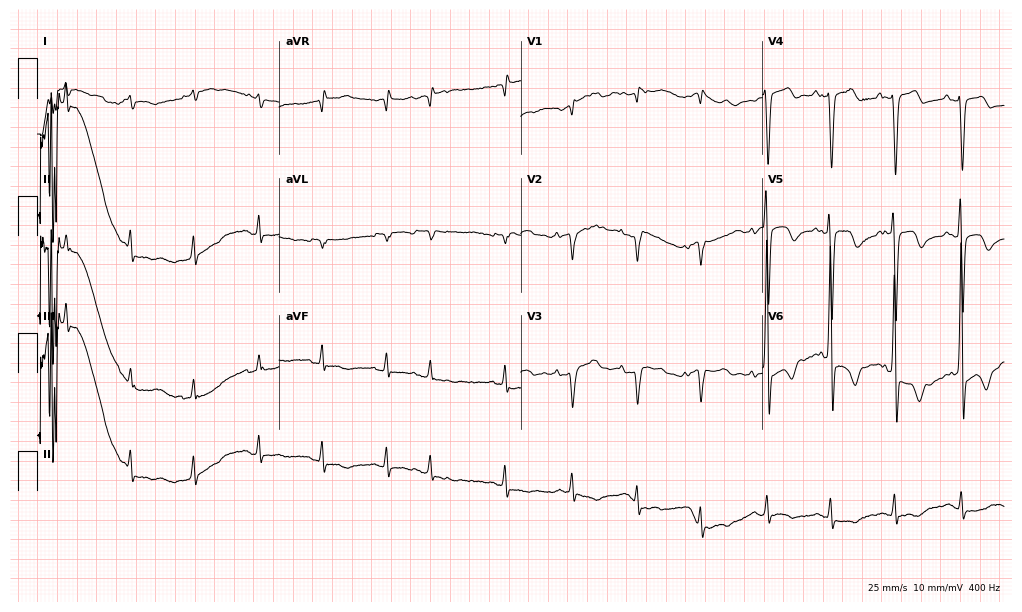
12-lead ECG from an 80-year-old male patient. Screened for six findings — first-degree AV block, right bundle branch block, left bundle branch block, sinus bradycardia, atrial fibrillation, sinus tachycardia — none is recorded. Only these six findings were labelled.